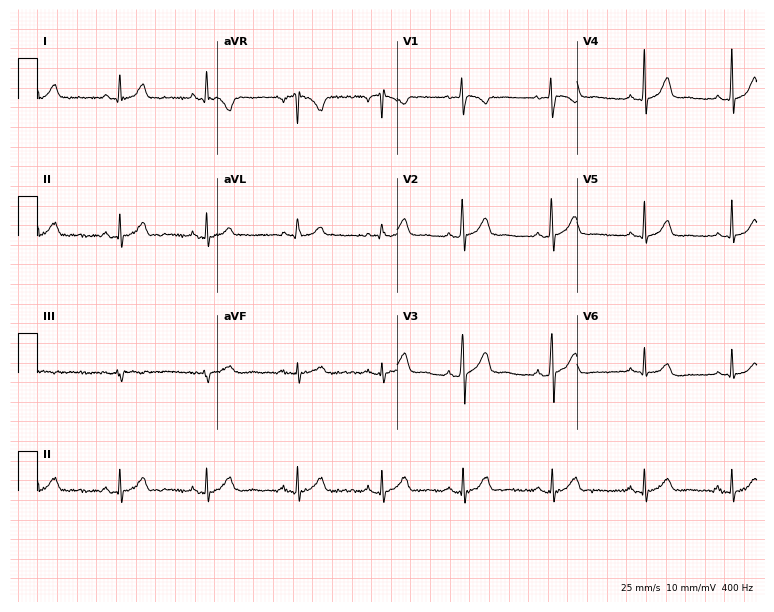
Standard 12-lead ECG recorded from a 24-year-old female (7.3-second recording at 400 Hz). None of these six findings is recorded: first-degree AV block, right bundle branch block (RBBB), left bundle branch block (LBBB), sinus bradycardia, atrial fibrillation (AF), sinus tachycardia.